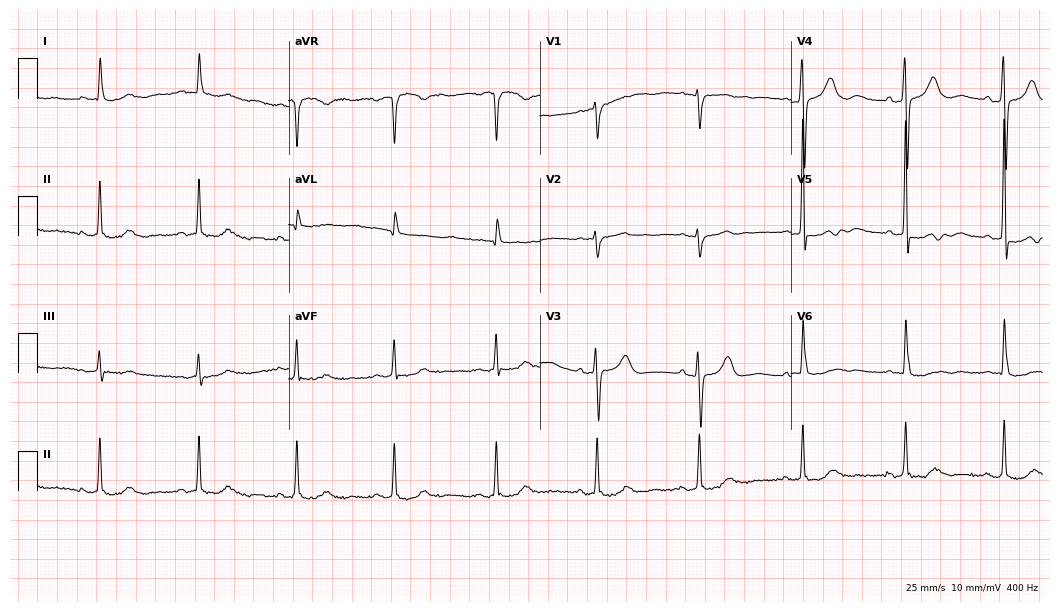
ECG (10.2-second recording at 400 Hz) — a woman, 69 years old. Labelled as a normal ECG.